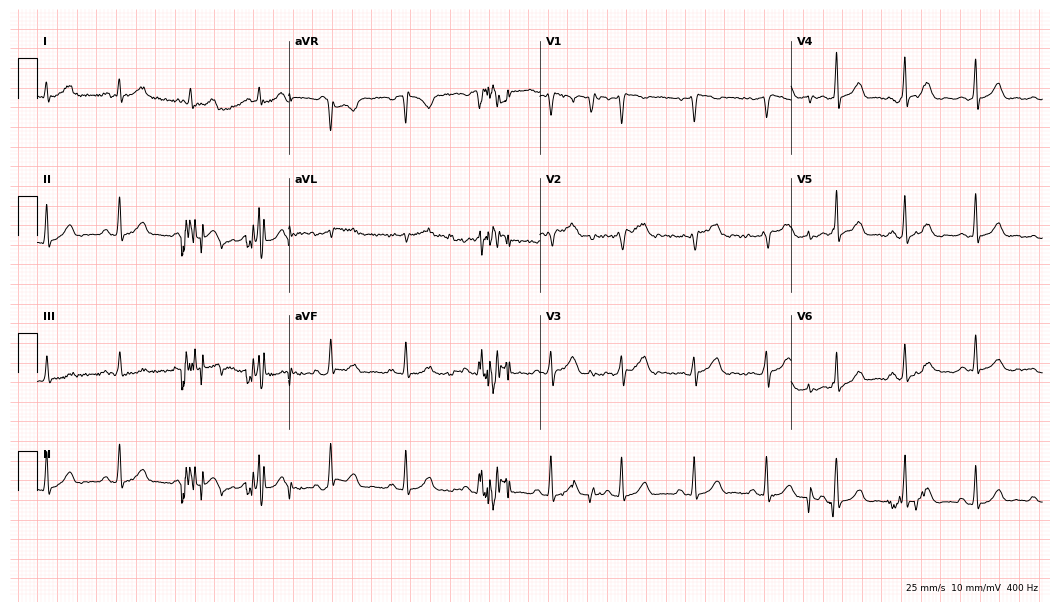
ECG (10.2-second recording at 400 Hz) — a female, 49 years old. Labelled as a normal ECG.